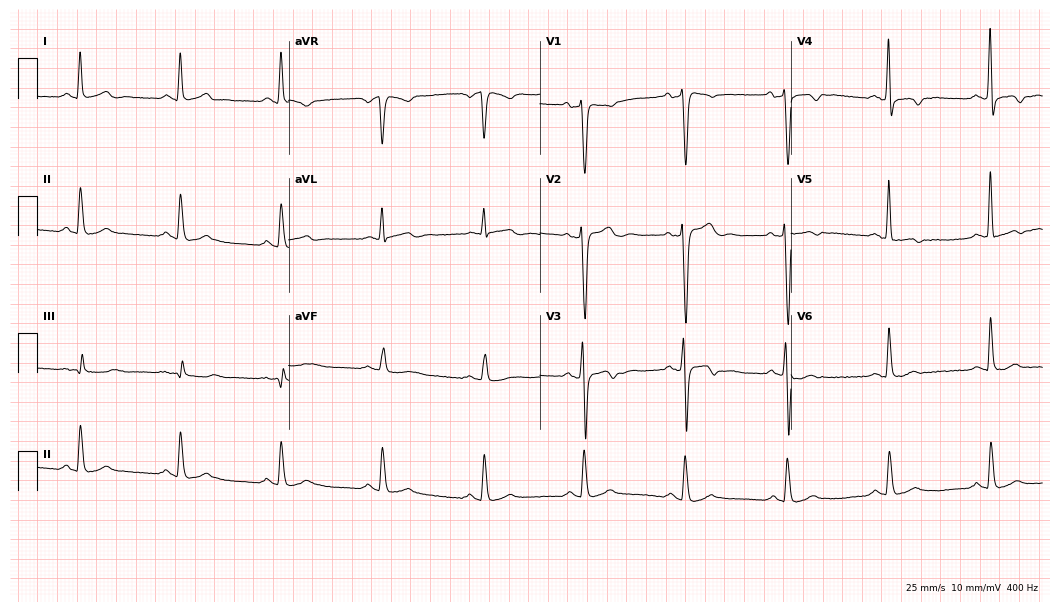
ECG (10.2-second recording at 400 Hz) — a 45-year-old man. Screened for six findings — first-degree AV block, right bundle branch block, left bundle branch block, sinus bradycardia, atrial fibrillation, sinus tachycardia — none is recorded.